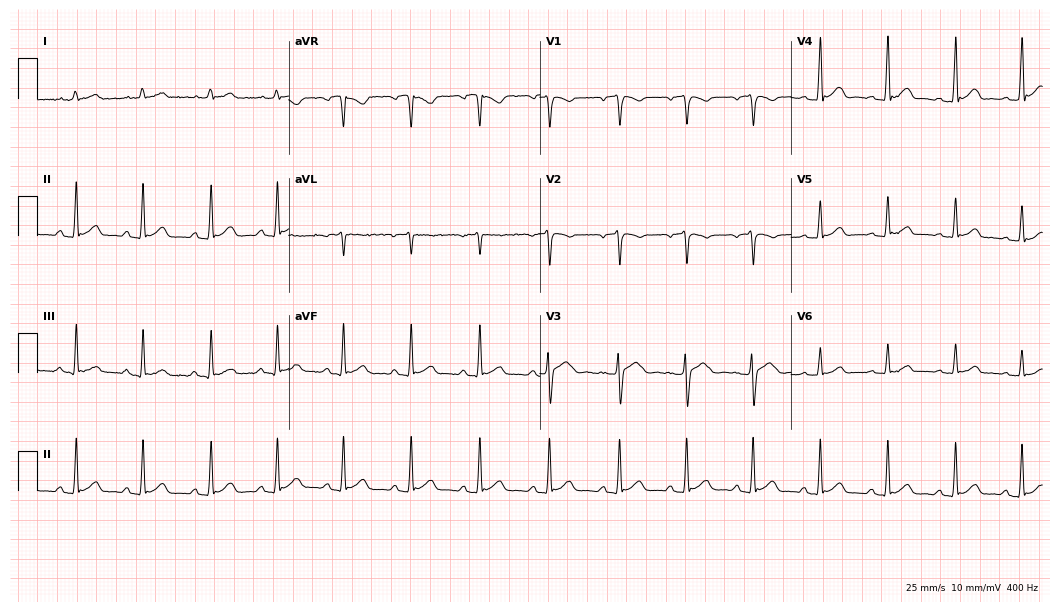
Standard 12-lead ECG recorded from a 23-year-old male patient (10.2-second recording at 400 Hz). Read as a normal ECG.